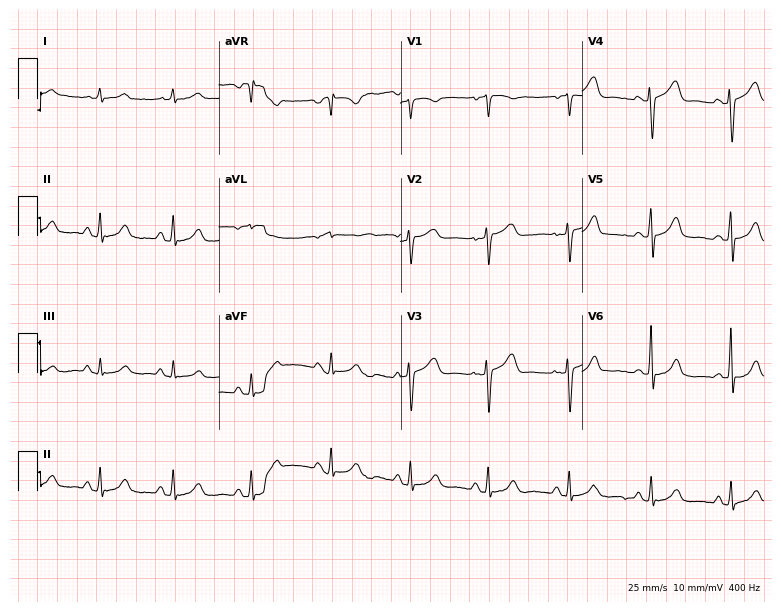
12-lead ECG from a 53-year-old female patient (7.4-second recording at 400 Hz). Recorded interpretation: within normal limits.